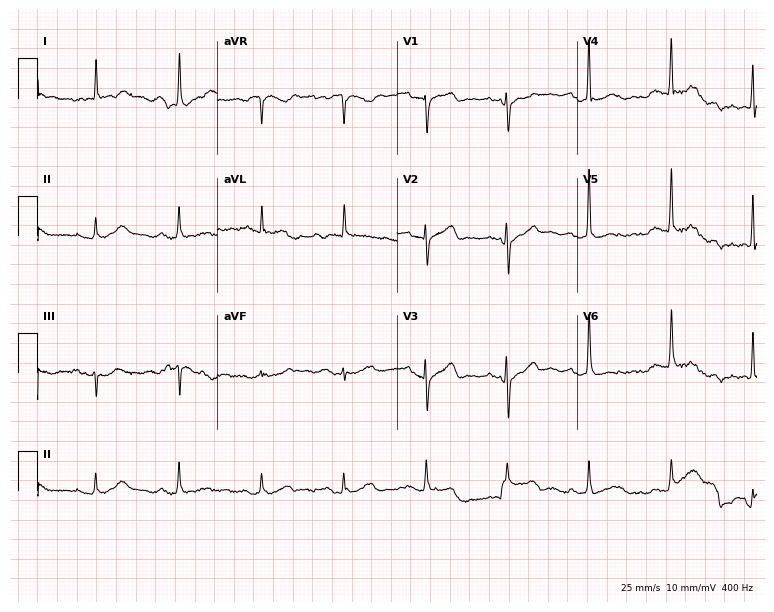
Resting 12-lead electrocardiogram (7.3-second recording at 400 Hz). Patient: an 82-year-old woman. None of these six findings is recorded: first-degree AV block, right bundle branch block (RBBB), left bundle branch block (LBBB), sinus bradycardia, atrial fibrillation (AF), sinus tachycardia. Findings outside these six are not listed.